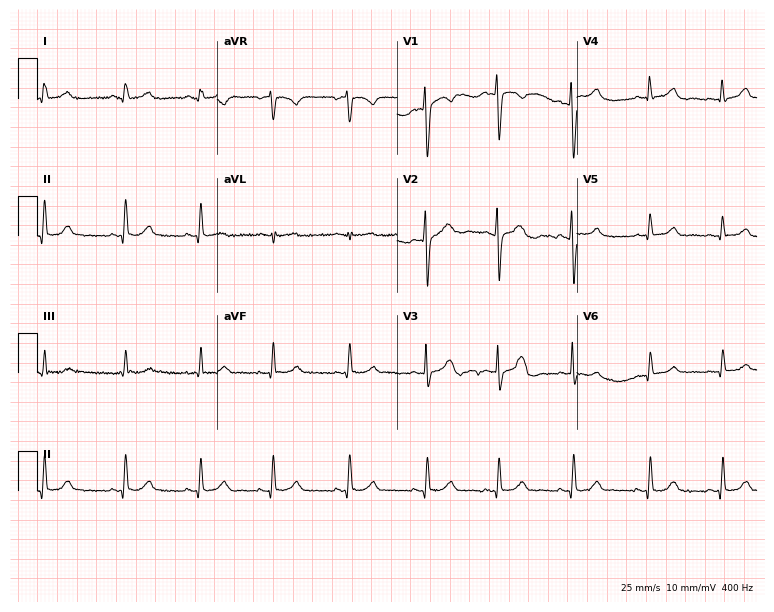
Electrocardiogram, a 23-year-old woman. Of the six screened findings (first-degree AV block, right bundle branch block (RBBB), left bundle branch block (LBBB), sinus bradycardia, atrial fibrillation (AF), sinus tachycardia), none is recorded. Other findings, if any, are not listed.